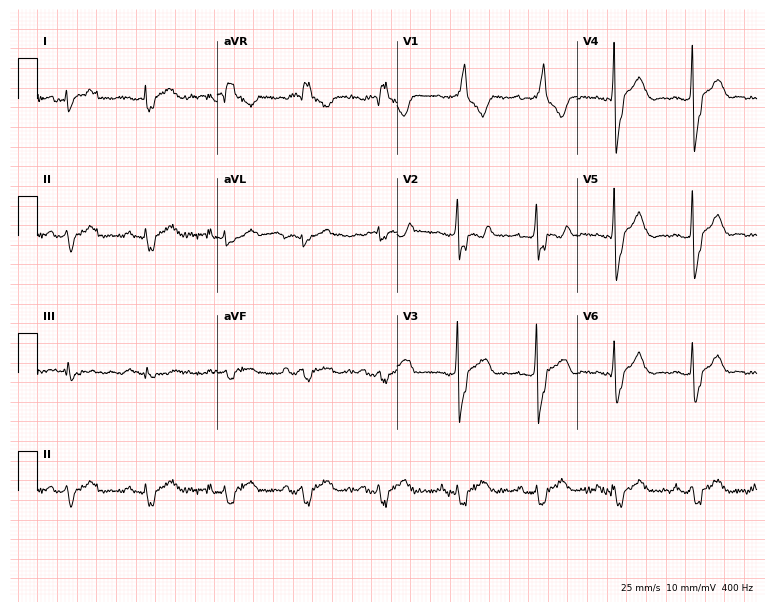
Resting 12-lead electrocardiogram (7.3-second recording at 400 Hz). Patient: a 39-year-old male. The tracing shows right bundle branch block.